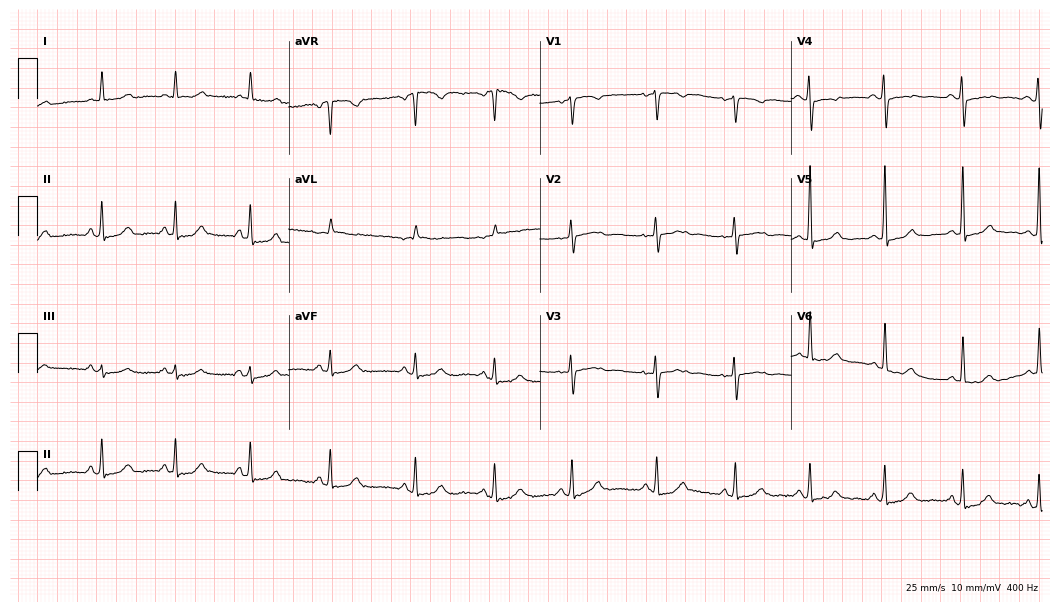
ECG (10.2-second recording at 400 Hz) — a female, 44 years old. Screened for six findings — first-degree AV block, right bundle branch block, left bundle branch block, sinus bradycardia, atrial fibrillation, sinus tachycardia — none is recorded. Findings outside these six are not listed.